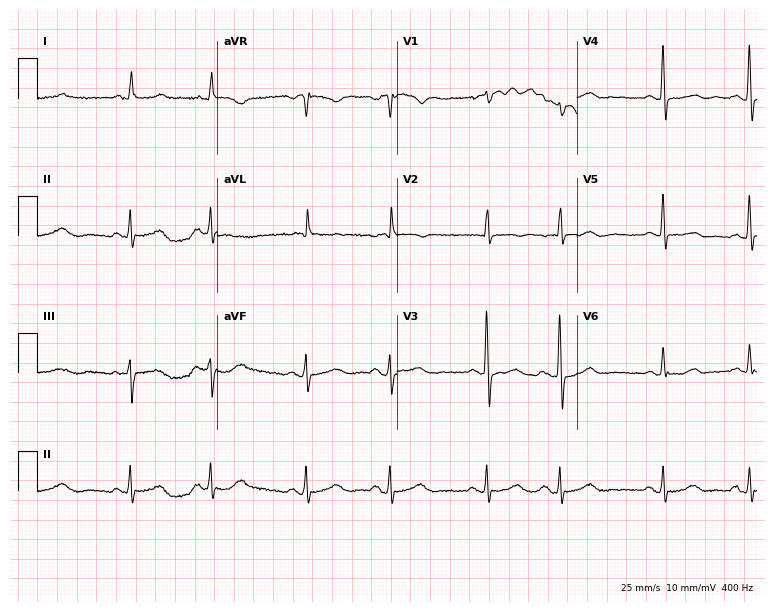
ECG (7.3-second recording at 400 Hz) — a 75-year-old woman. Screened for six findings — first-degree AV block, right bundle branch block, left bundle branch block, sinus bradycardia, atrial fibrillation, sinus tachycardia — none is recorded. Only these six findings were labelled.